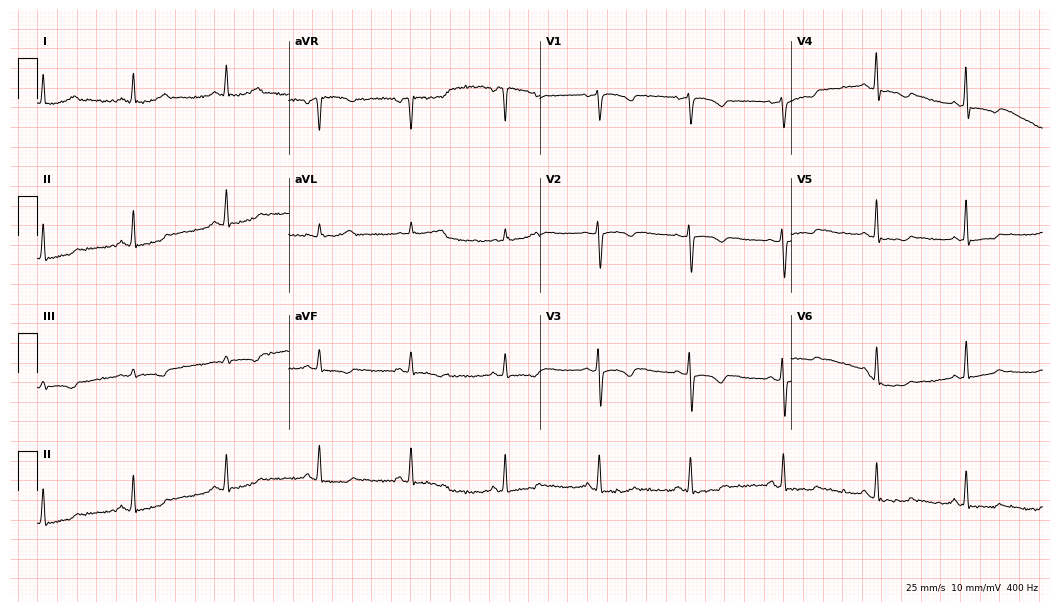
12-lead ECG from a woman, 52 years old. No first-degree AV block, right bundle branch block, left bundle branch block, sinus bradycardia, atrial fibrillation or sinus tachycardia recorded for this tracing. Other findings, if any, are not listed.